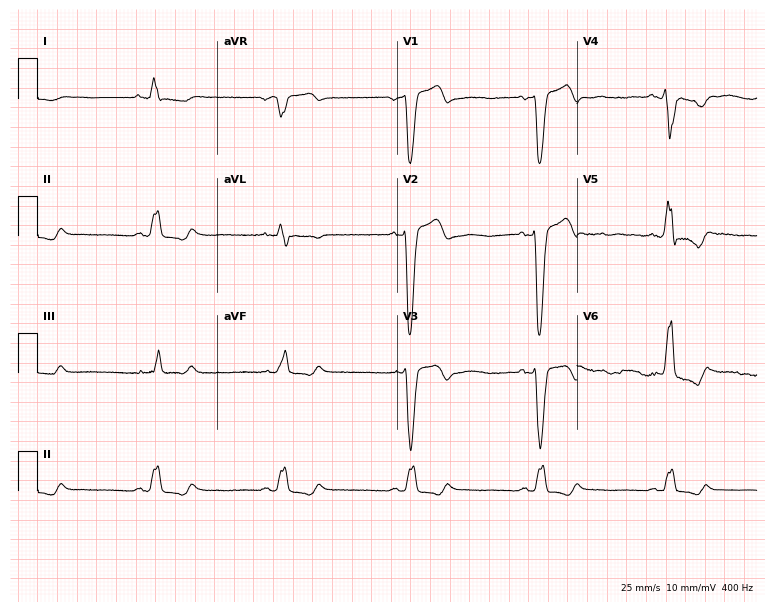
Electrocardiogram (7.3-second recording at 400 Hz), a man, 77 years old. Interpretation includes left bundle branch block, sinus bradycardia (a sinus rate of 50 beats per minute or less).